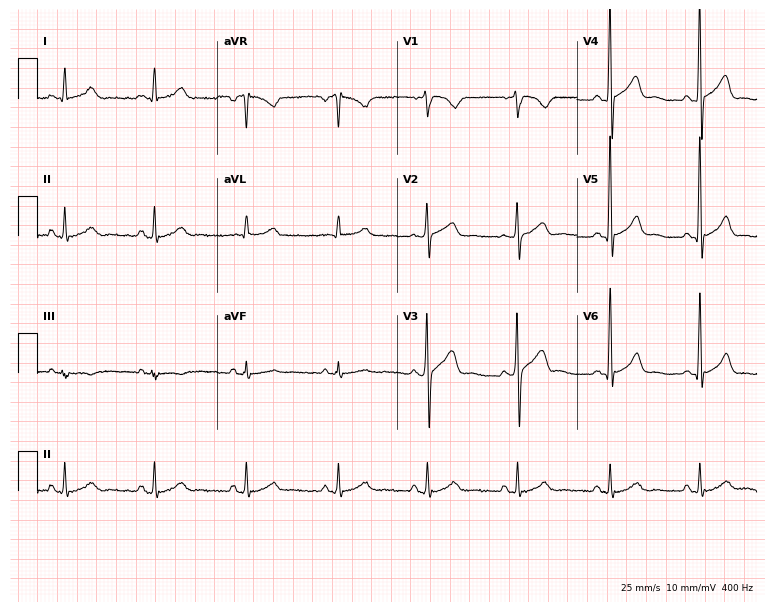
Resting 12-lead electrocardiogram. Patient: a man, 38 years old. Read as a normal ECG.